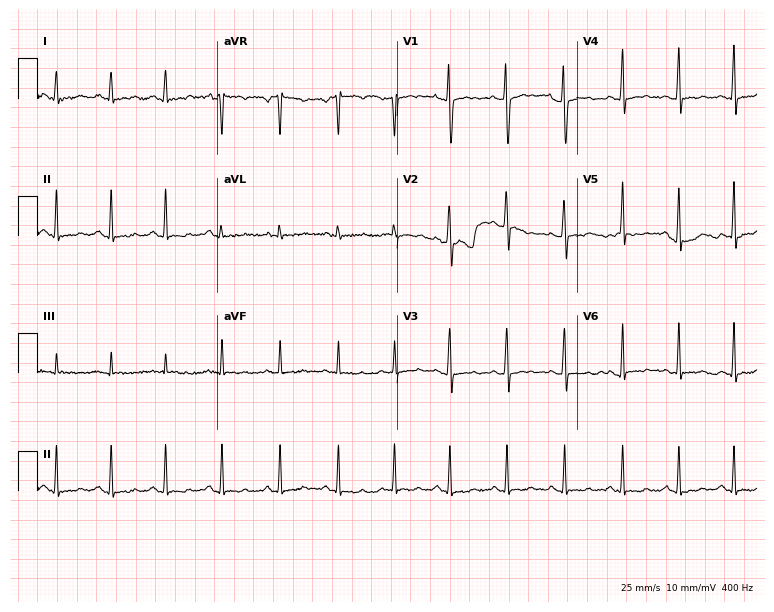
12-lead ECG (7.3-second recording at 400 Hz) from a female, 18 years old. Labelled as a normal ECG.